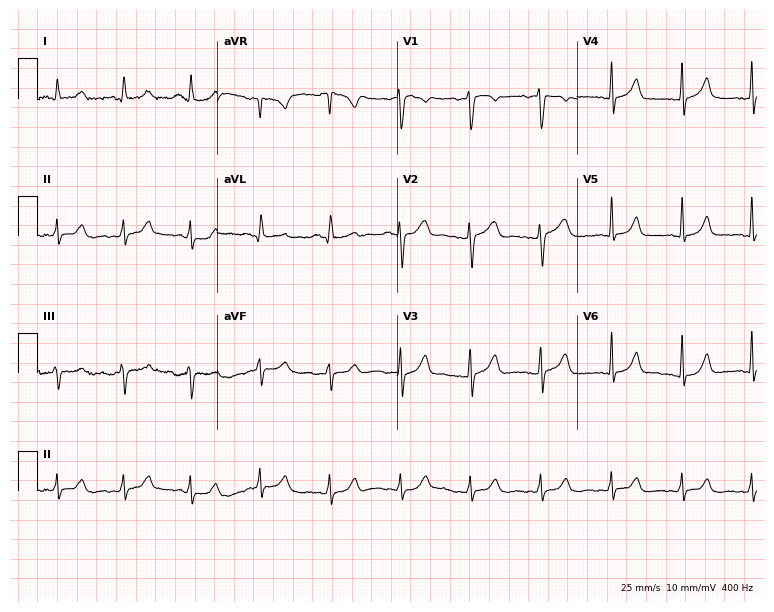
ECG — a 46-year-old female. Labelled as a normal ECG.